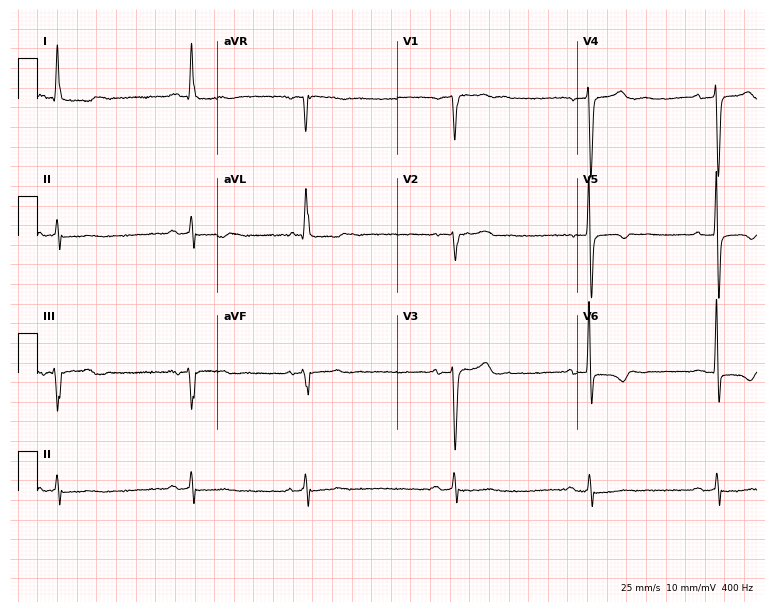
Standard 12-lead ECG recorded from a 66-year-old male patient (7.3-second recording at 400 Hz). None of these six findings is recorded: first-degree AV block, right bundle branch block, left bundle branch block, sinus bradycardia, atrial fibrillation, sinus tachycardia.